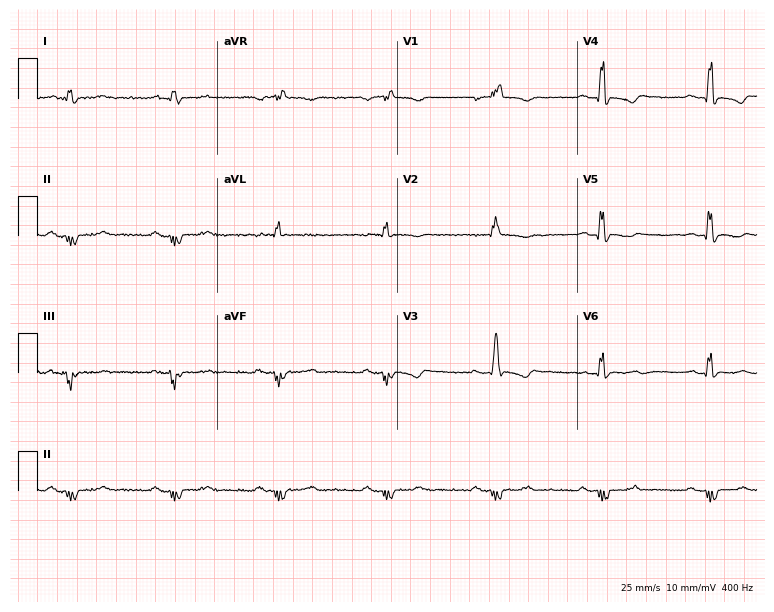
ECG (7.3-second recording at 400 Hz) — a 39-year-old male patient. Findings include right bundle branch block.